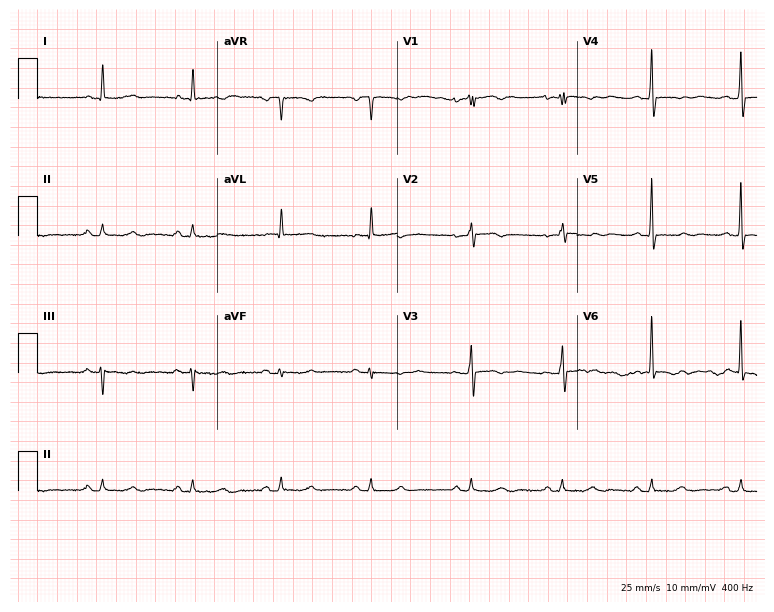
Standard 12-lead ECG recorded from a 77-year-old female (7.3-second recording at 400 Hz). None of these six findings is recorded: first-degree AV block, right bundle branch block, left bundle branch block, sinus bradycardia, atrial fibrillation, sinus tachycardia.